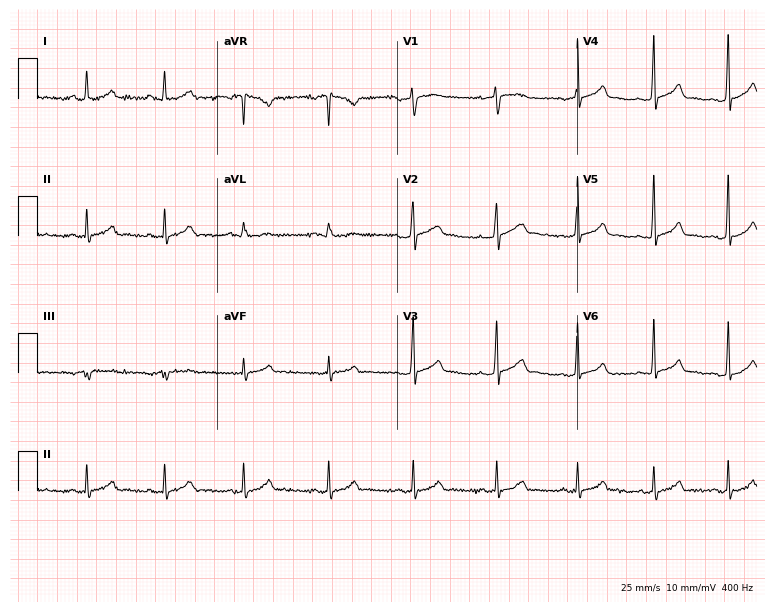
ECG (7.3-second recording at 400 Hz) — a 32-year-old man. Screened for six findings — first-degree AV block, right bundle branch block, left bundle branch block, sinus bradycardia, atrial fibrillation, sinus tachycardia — none is recorded.